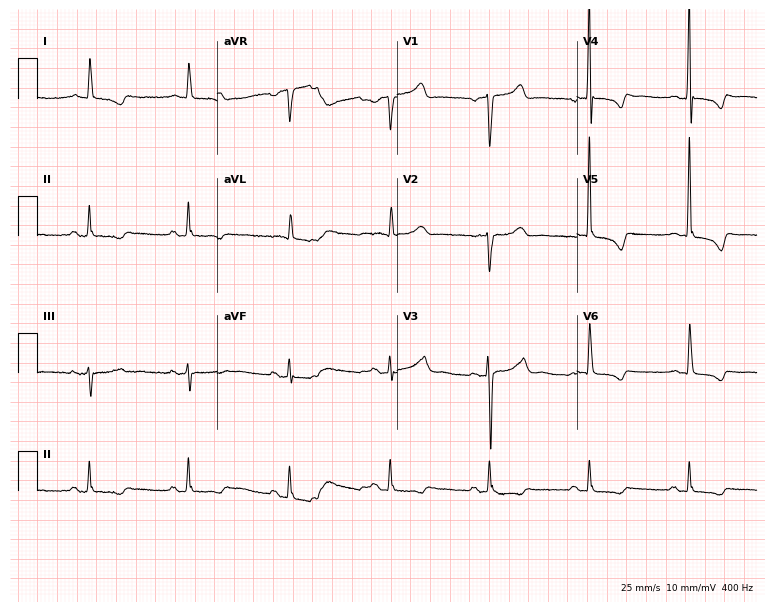
Electrocardiogram, a 77-year-old male patient. Of the six screened findings (first-degree AV block, right bundle branch block, left bundle branch block, sinus bradycardia, atrial fibrillation, sinus tachycardia), none is recorded.